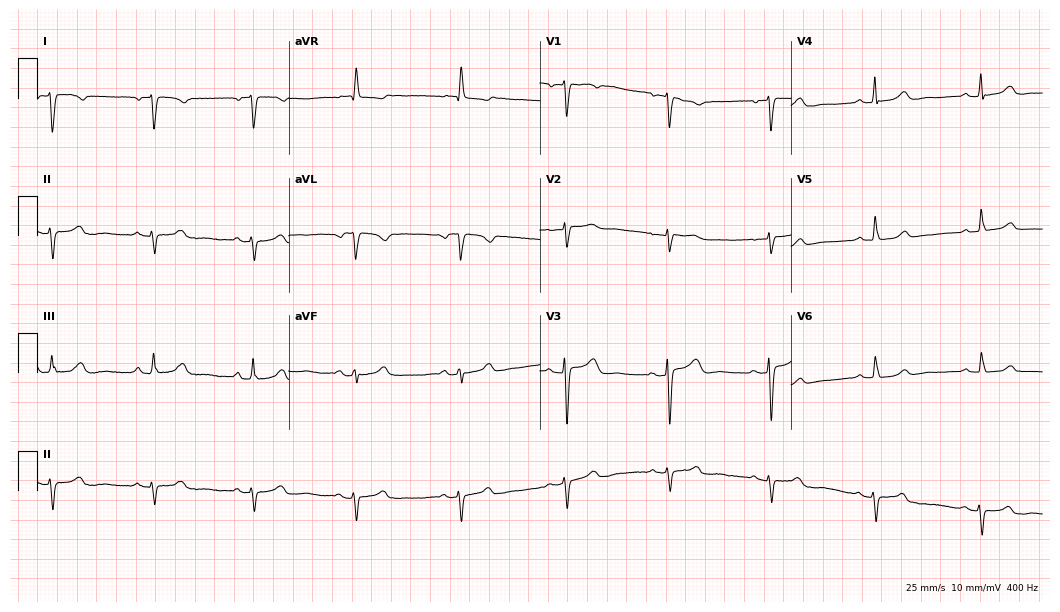
Electrocardiogram, a woman, 64 years old. Of the six screened findings (first-degree AV block, right bundle branch block, left bundle branch block, sinus bradycardia, atrial fibrillation, sinus tachycardia), none is recorded. Findings outside these six are not listed.